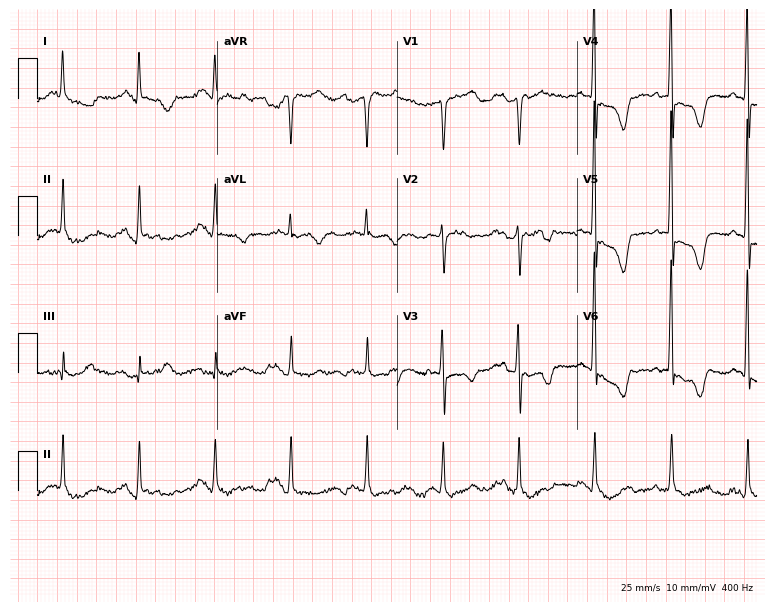
Resting 12-lead electrocardiogram. Patient: an 84-year-old woman. None of these six findings is recorded: first-degree AV block, right bundle branch block (RBBB), left bundle branch block (LBBB), sinus bradycardia, atrial fibrillation (AF), sinus tachycardia. Only these six findings were labelled.